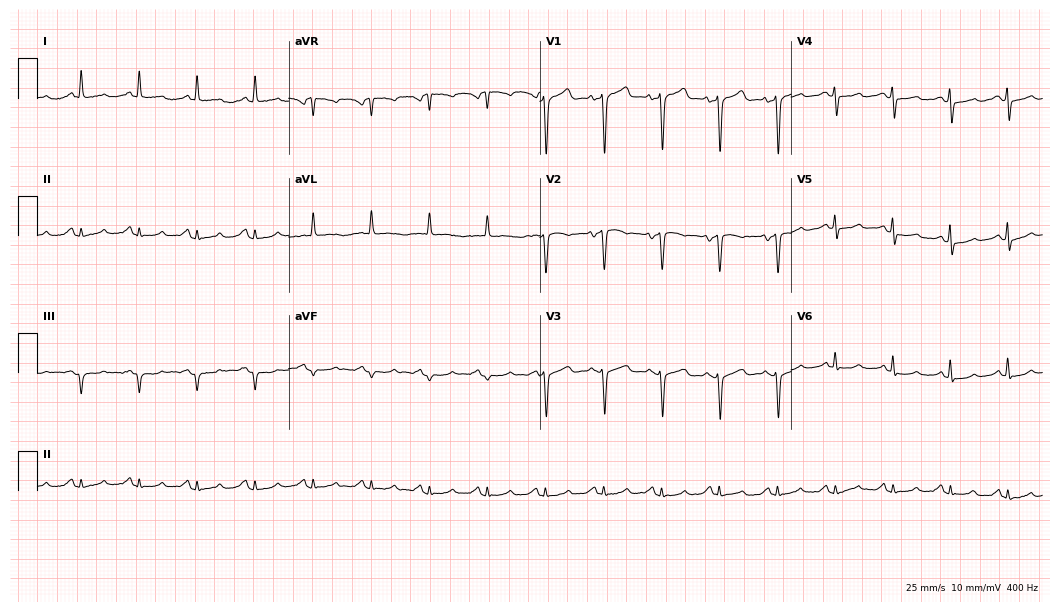
Electrocardiogram, a female, 65 years old. Interpretation includes sinus tachycardia (a sinus rate of 100 beats per minute or more).